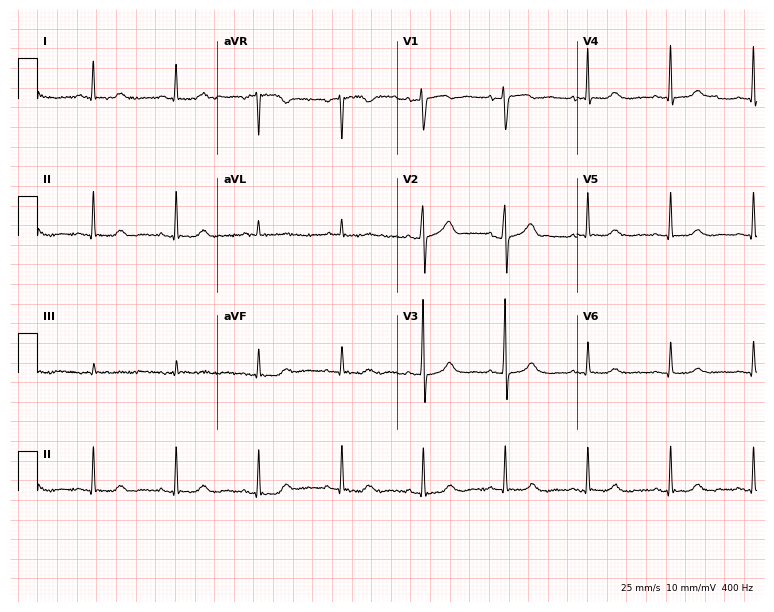
12-lead ECG from a woman, 67 years old (7.3-second recording at 400 Hz). No first-degree AV block, right bundle branch block (RBBB), left bundle branch block (LBBB), sinus bradycardia, atrial fibrillation (AF) or sinus tachycardia recorded for this tracing.